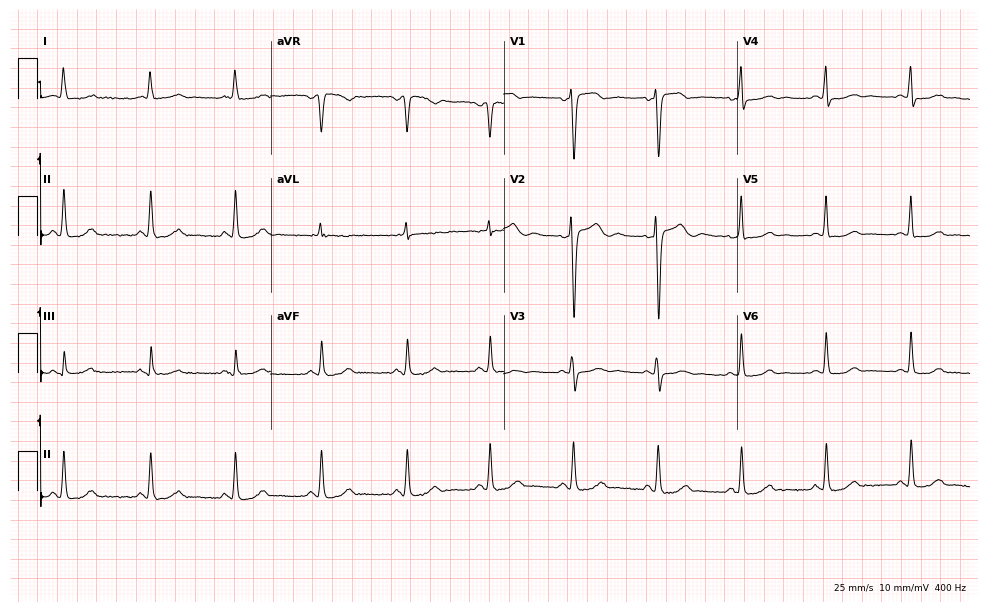
Standard 12-lead ECG recorded from a woman, 46 years old. None of these six findings is recorded: first-degree AV block, right bundle branch block, left bundle branch block, sinus bradycardia, atrial fibrillation, sinus tachycardia. Findings outside these six are not listed.